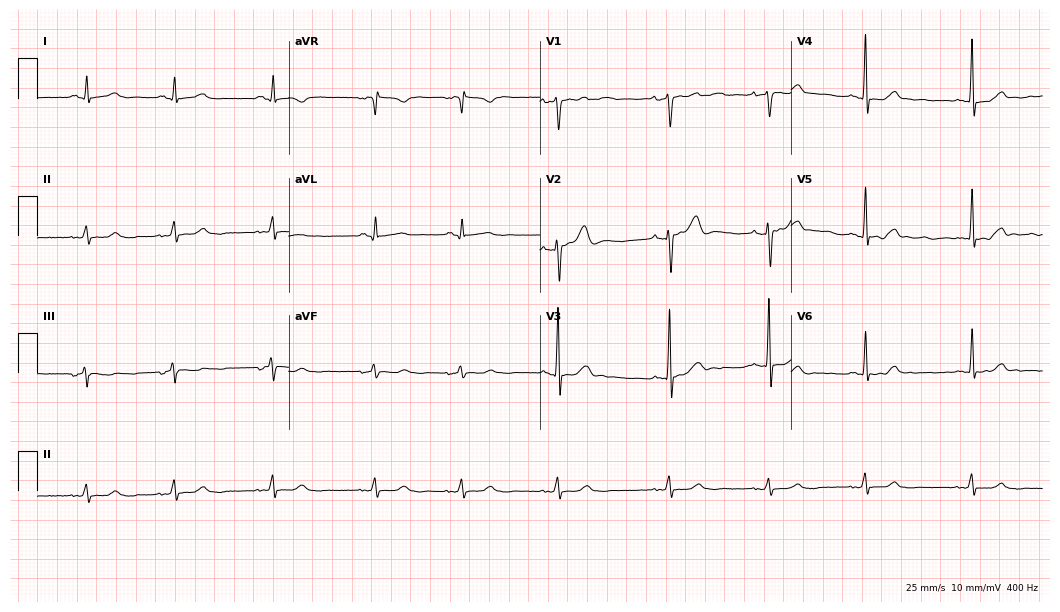
Electrocardiogram (10.2-second recording at 400 Hz), a female patient, 32 years old. Overall reading on record: normal ECG.